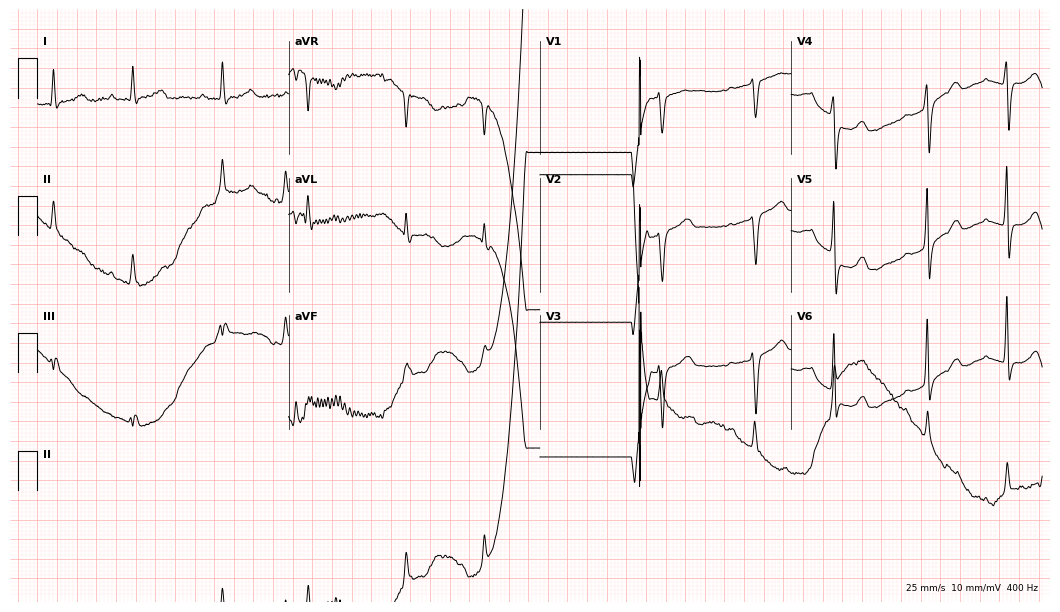
Standard 12-lead ECG recorded from a 60-year-old female. The tracing shows first-degree AV block.